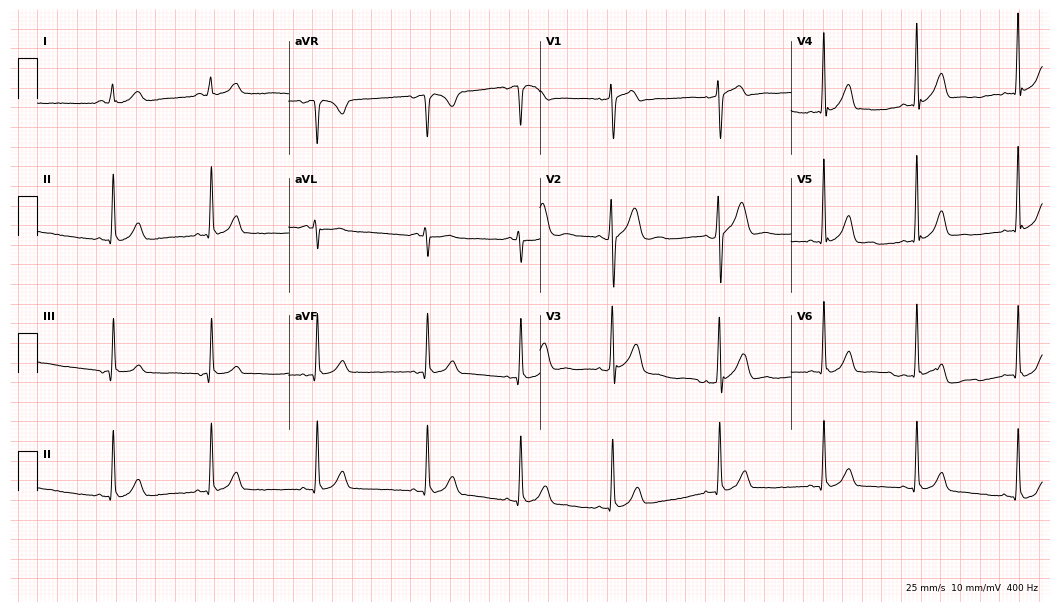
12-lead ECG (10.2-second recording at 400 Hz) from a male patient, 31 years old. Screened for six findings — first-degree AV block, right bundle branch block, left bundle branch block, sinus bradycardia, atrial fibrillation, sinus tachycardia — none is recorded. Findings outside these six are not listed.